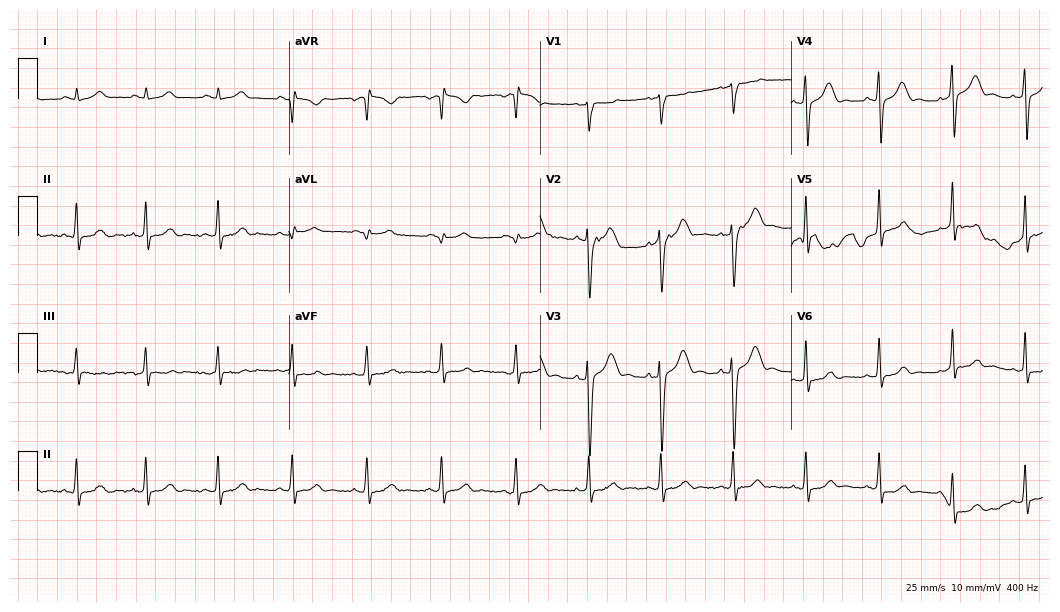
Resting 12-lead electrocardiogram. Patient: a man, 42 years old. Read as a normal ECG.